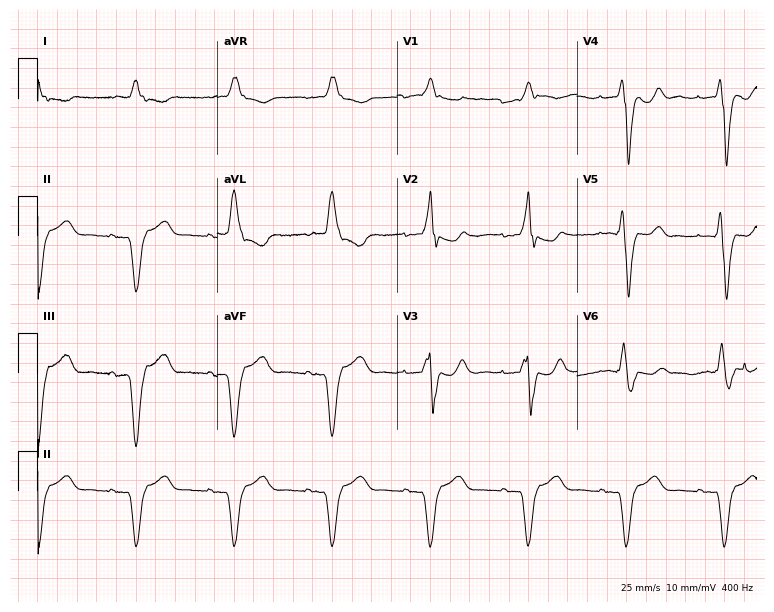
Standard 12-lead ECG recorded from a male, 68 years old (7.3-second recording at 400 Hz). None of these six findings is recorded: first-degree AV block, right bundle branch block (RBBB), left bundle branch block (LBBB), sinus bradycardia, atrial fibrillation (AF), sinus tachycardia. Other findings, if any, are not listed.